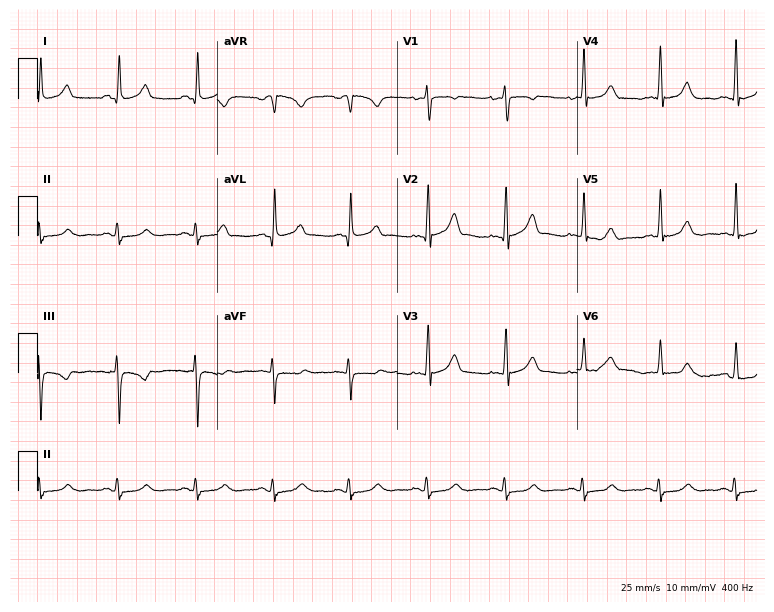
ECG (7.3-second recording at 400 Hz) — a 42-year-old female patient. Labelled as a normal ECG.